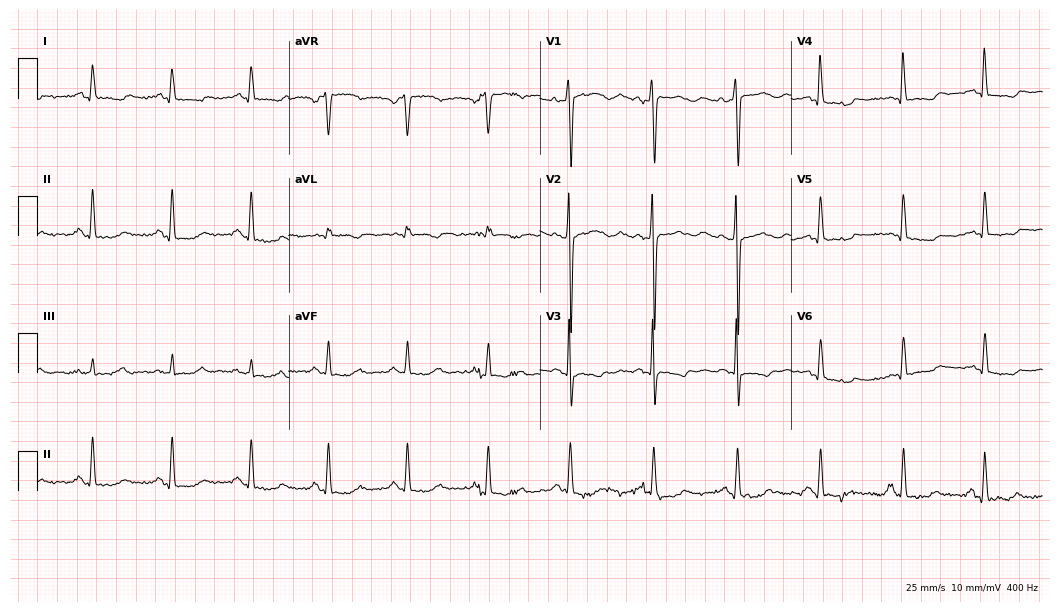
ECG — a 64-year-old woman. Screened for six findings — first-degree AV block, right bundle branch block, left bundle branch block, sinus bradycardia, atrial fibrillation, sinus tachycardia — none is recorded.